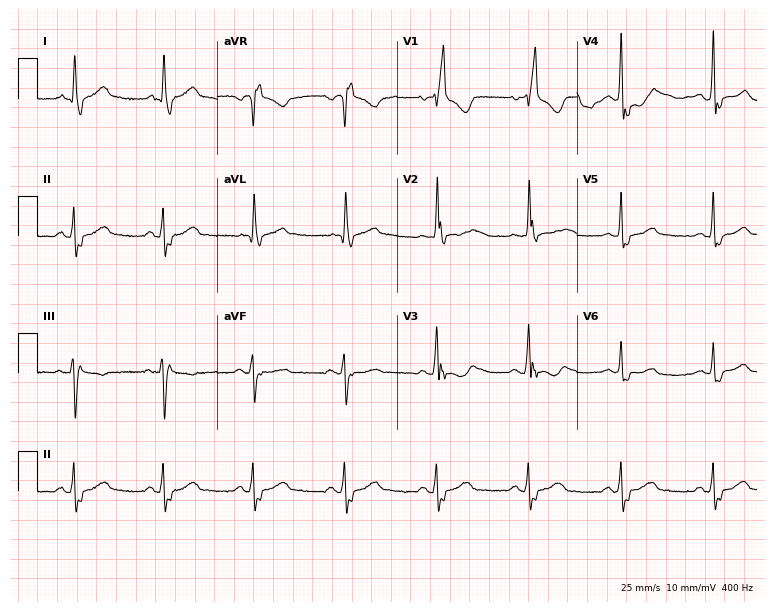
Standard 12-lead ECG recorded from a male, 60 years old. The tracing shows right bundle branch block (RBBB).